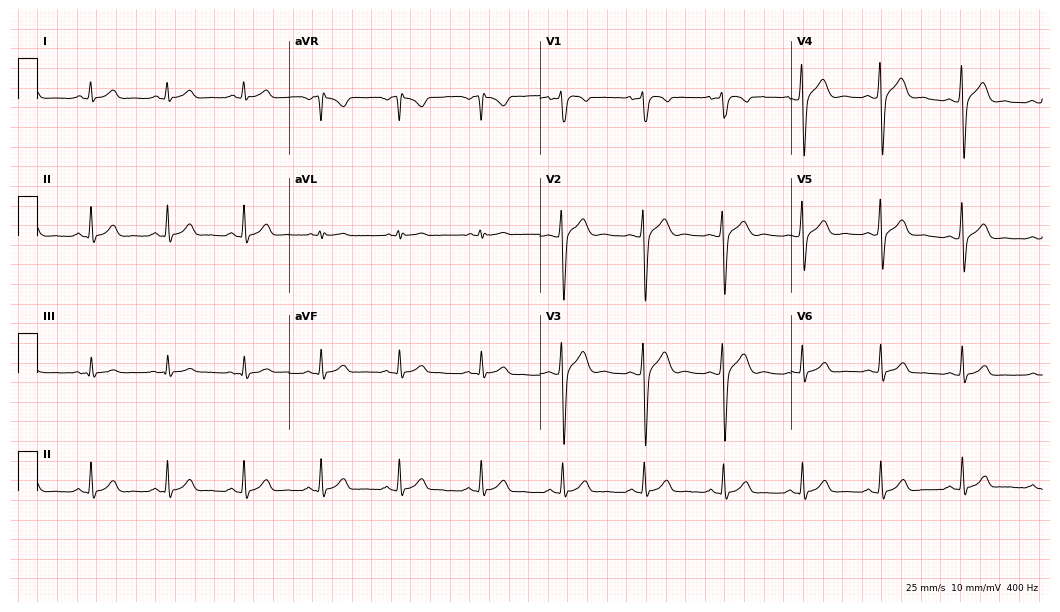
Electrocardiogram, a male patient, 22 years old. Of the six screened findings (first-degree AV block, right bundle branch block, left bundle branch block, sinus bradycardia, atrial fibrillation, sinus tachycardia), none is recorded. Only these six findings were labelled.